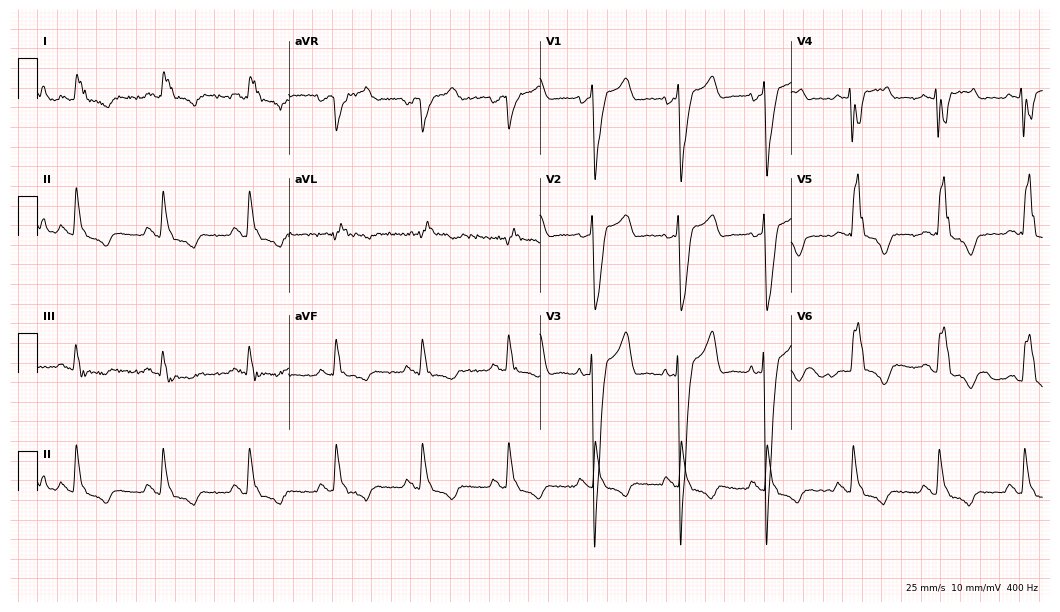
12-lead ECG from a 51-year-old man. Shows left bundle branch block.